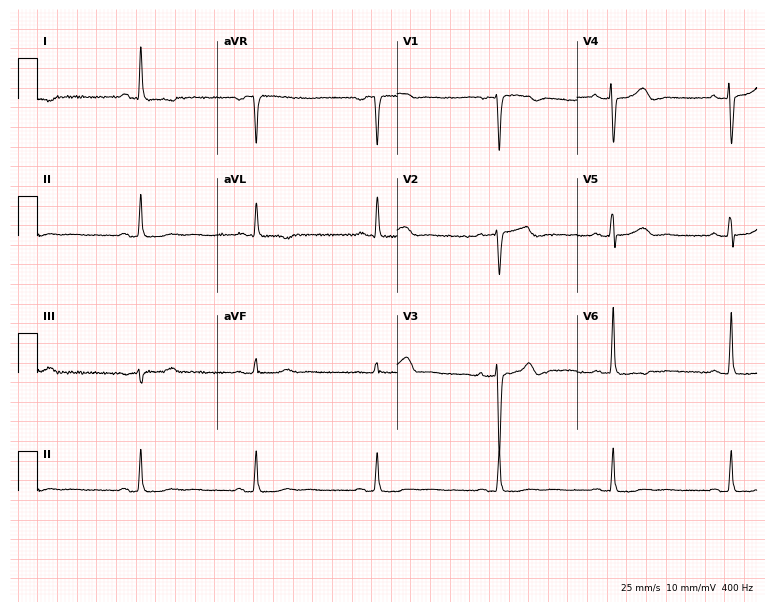
12-lead ECG (7.3-second recording at 400 Hz) from a female patient, 48 years old. Screened for six findings — first-degree AV block, right bundle branch block, left bundle branch block, sinus bradycardia, atrial fibrillation, sinus tachycardia — none is recorded.